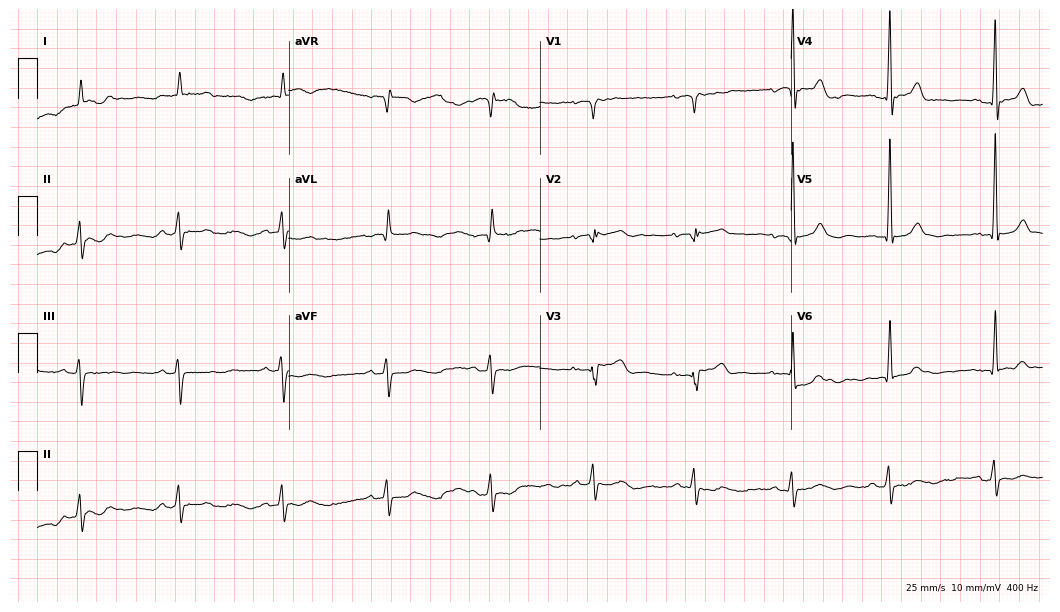
Standard 12-lead ECG recorded from a man, 80 years old. None of these six findings is recorded: first-degree AV block, right bundle branch block, left bundle branch block, sinus bradycardia, atrial fibrillation, sinus tachycardia. Findings outside these six are not listed.